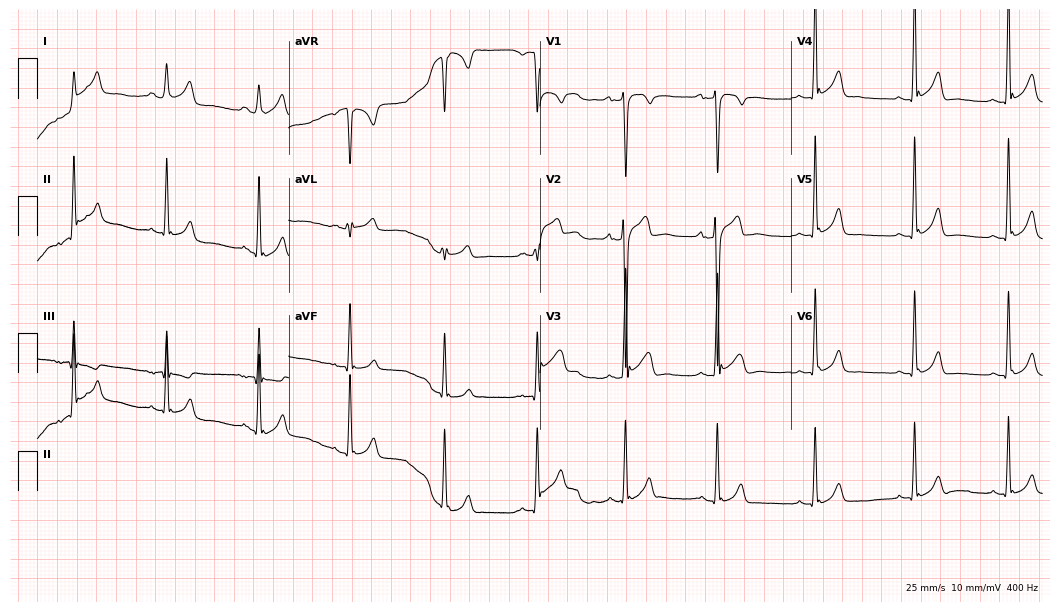
ECG — a male, 18 years old. Screened for six findings — first-degree AV block, right bundle branch block, left bundle branch block, sinus bradycardia, atrial fibrillation, sinus tachycardia — none is recorded. Findings outside these six are not listed.